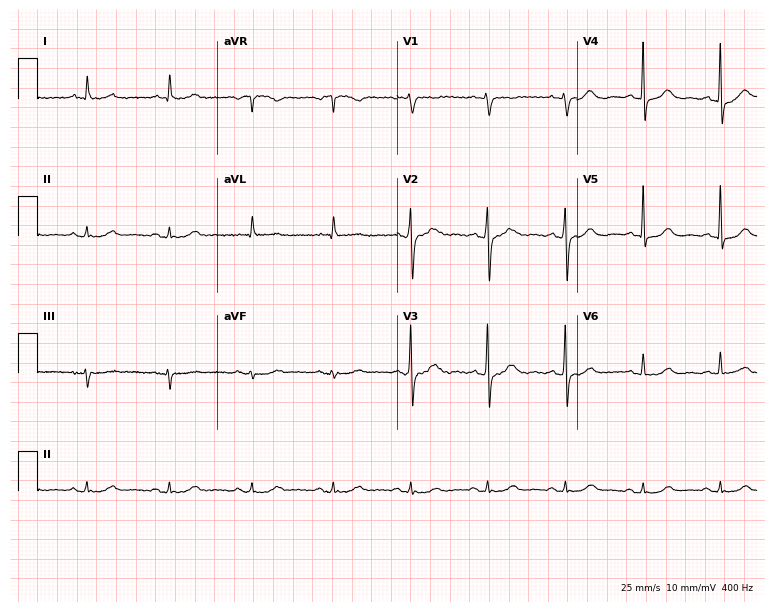
12-lead ECG from an 85-year-old female patient. Recorded interpretation: within normal limits.